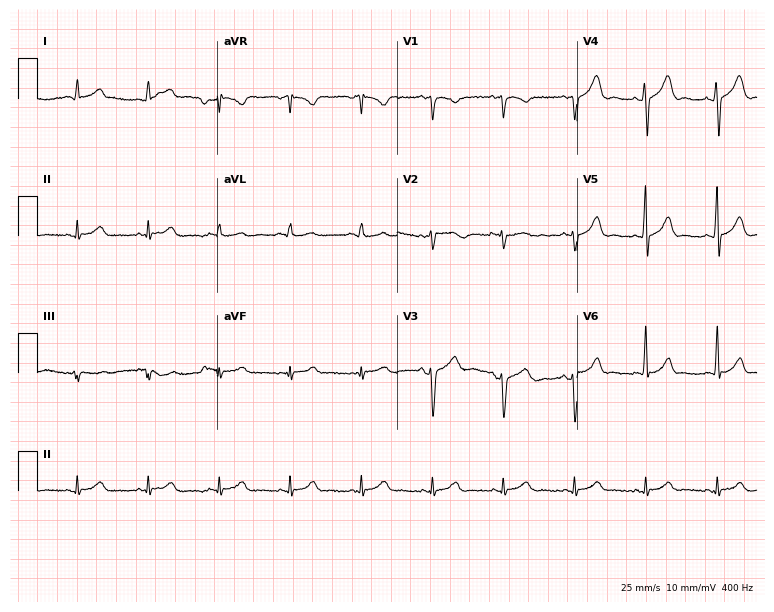
Resting 12-lead electrocardiogram. Patient: a 48-year-old man. Read as a normal ECG.